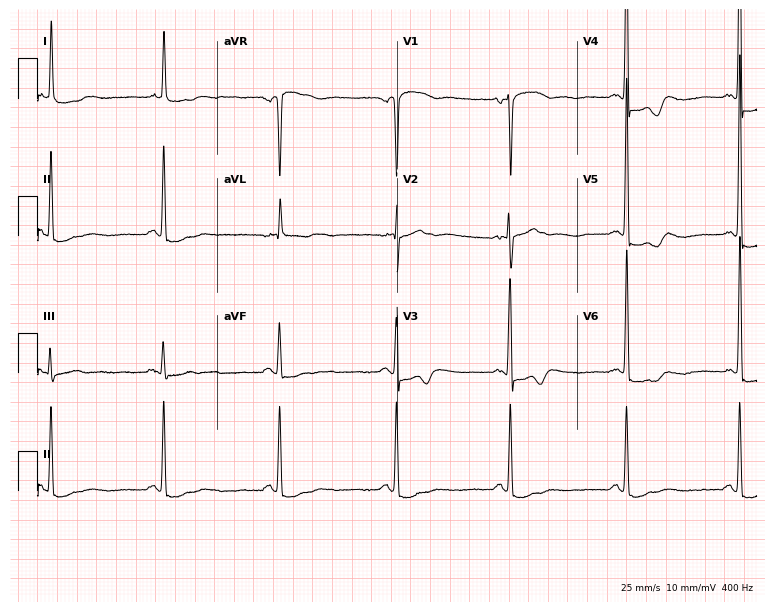
ECG (7.3-second recording at 400 Hz) — a 72-year-old woman. Screened for six findings — first-degree AV block, right bundle branch block, left bundle branch block, sinus bradycardia, atrial fibrillation, sinus tachycardia — none is recorded. Findings outside these six are not listed.